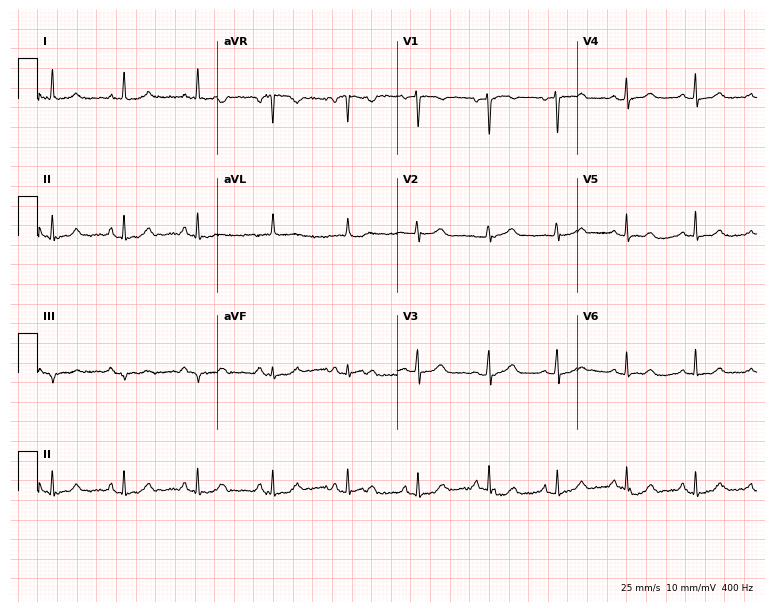
Resting 12-lead electrocardiogram (7.3-second recording at 400 Hz). Patient: a woman, 46 years old. Read as a normal ECG.